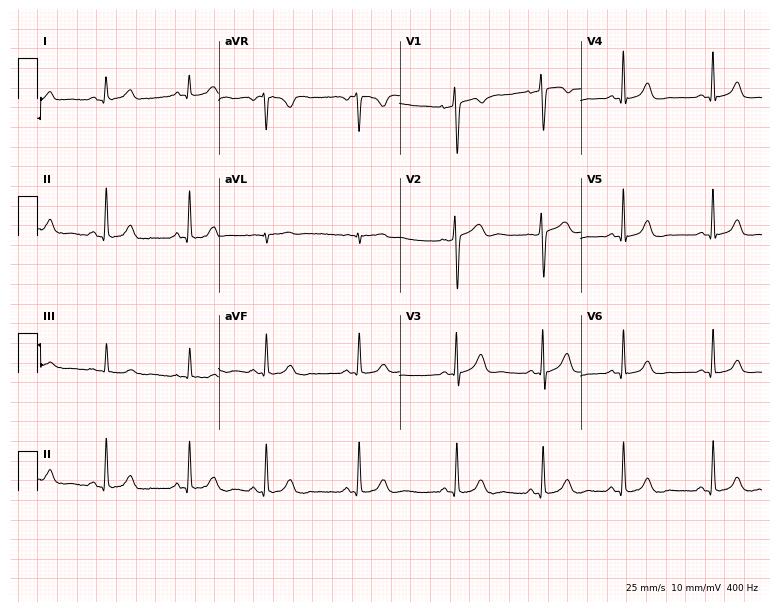
12-lead ECG from a woman, 25 years old. Screened for six findings — first-degree AV block, right bundle branch block, left bundle branch block, sinus bradycardia, atrial fibrillation, sinus tachycardia — none is recorded. Findings outside these six are not listed.